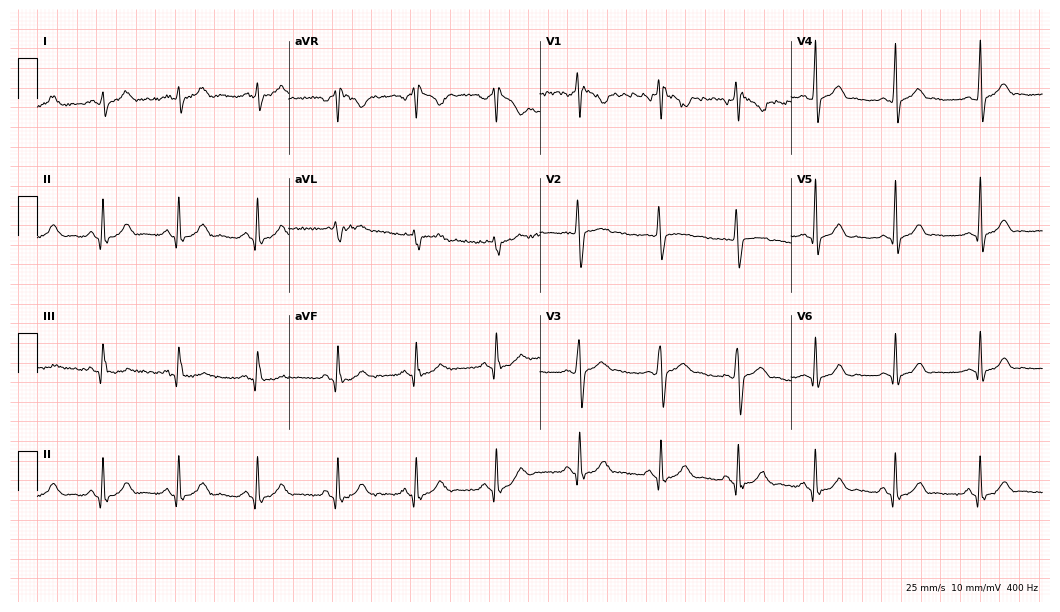
Electrocardiogram (10.2-second recording at 400 Hz), a 24-year-old male patient. Of the six screened findings (first-degree AV block, right bundle branch block (RBBB), left bundle branch block (LBBB), sinus bradycardia, atrial fibrillation (AF), sinus tachycardia), none is recorded.